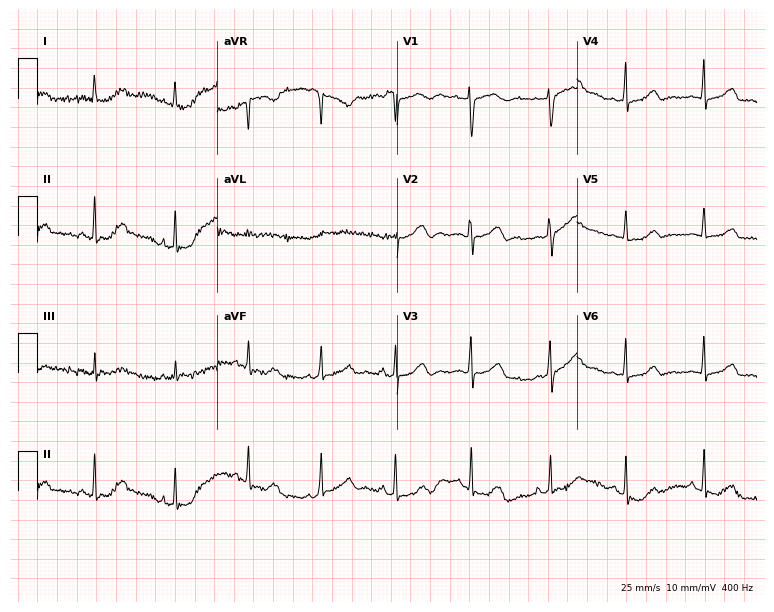
Resting 12-lead electrocardiogram (7.3-second recording at 400 Hz). Patient: a 43-year-old woman. Read as a normal ECG.